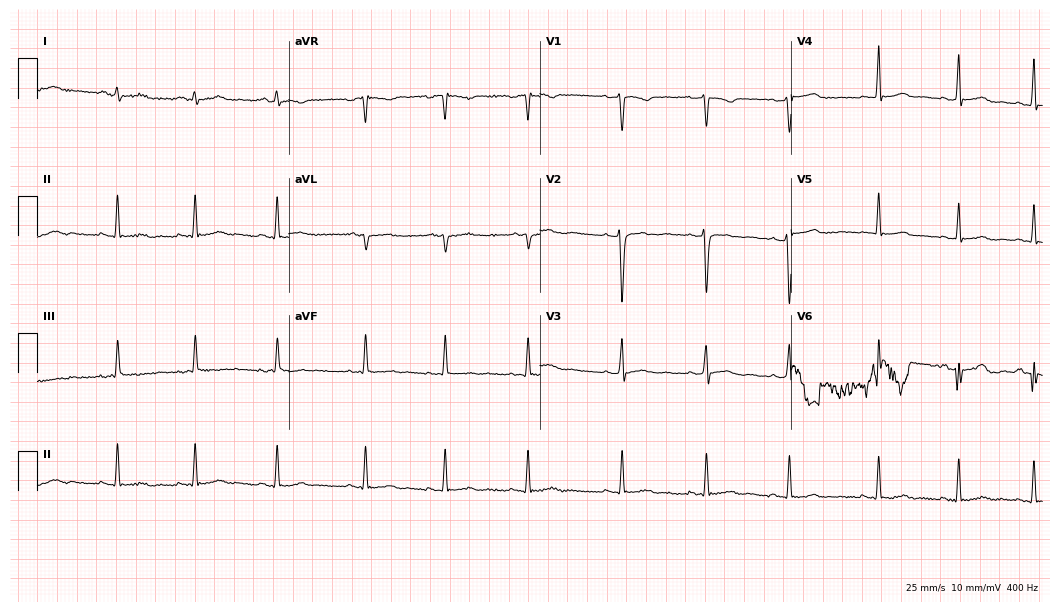
12-lead ECG from a woman, 24 years old (10.2-second recording at 400 Hz). Recorded interpretation: within normal limits.